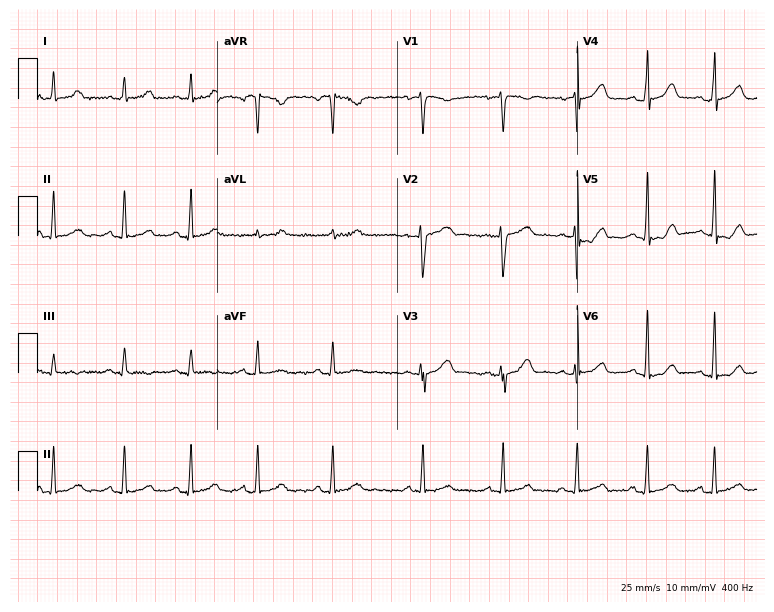
ECG (7.3-second recording at 400 Hz) — a female, 35 years old. Screened for six findings — first-degree AV block, right bundle branch block (RBBB), left bundle branch block (LBBB), sinus bradycardia, atrial fibrillation (AF), sinus tachycardia — none is recorded.